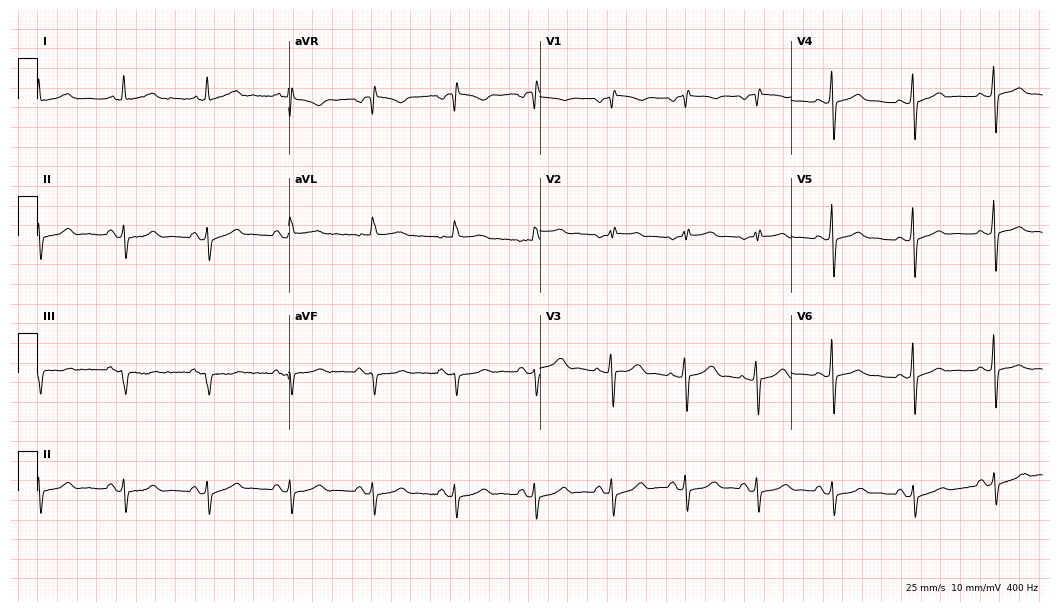
Standard 12-lead ECG recorded from a 65-year-old woman (10.2-second recording at 400 Hz). None of these six findings is recorded: first-degree AV block, right bundle branch block, left bundle branch block, sinus bradycardia, atrial fibrillation, sinus tachycardia. Other findings, if any, are not listed.